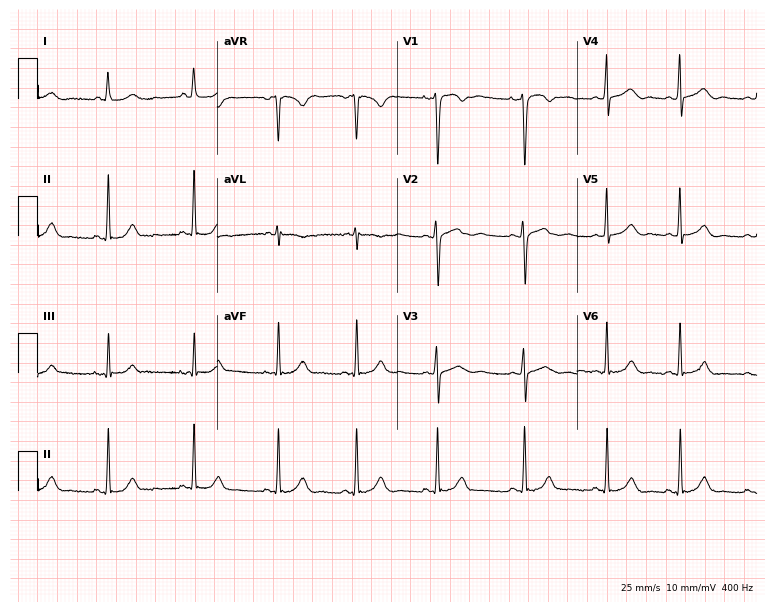
Resting 12-lead electrocardiogram. Patient: an 18-year-old female. Read as a normal ECG.